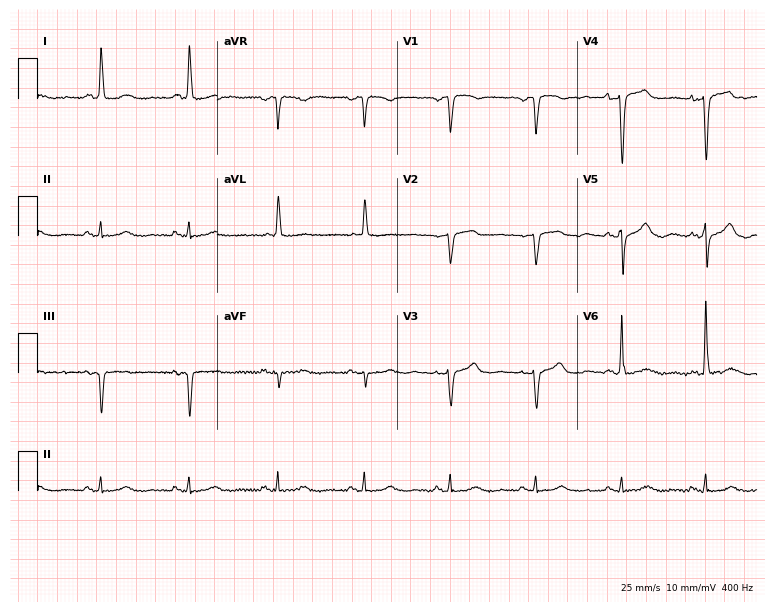
Resting 12-lead electrocardiogram. Patient: an 80-year-old female. Read as a normal ECG.